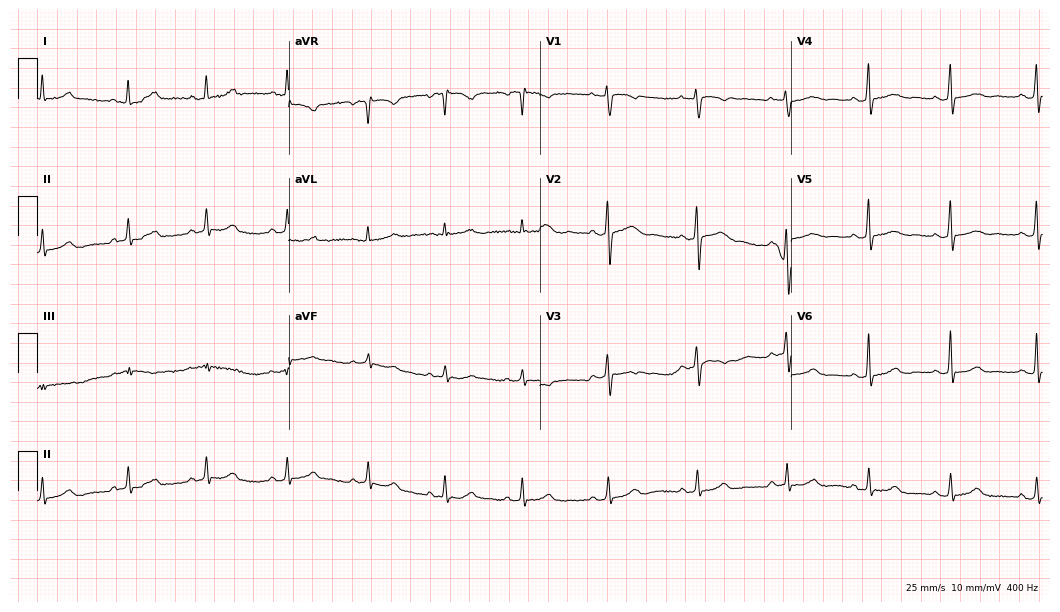
12-lead ECG (10.2-second recording at 400 Hz) from a 27-year-old woman. Labelled as a normal ECG.